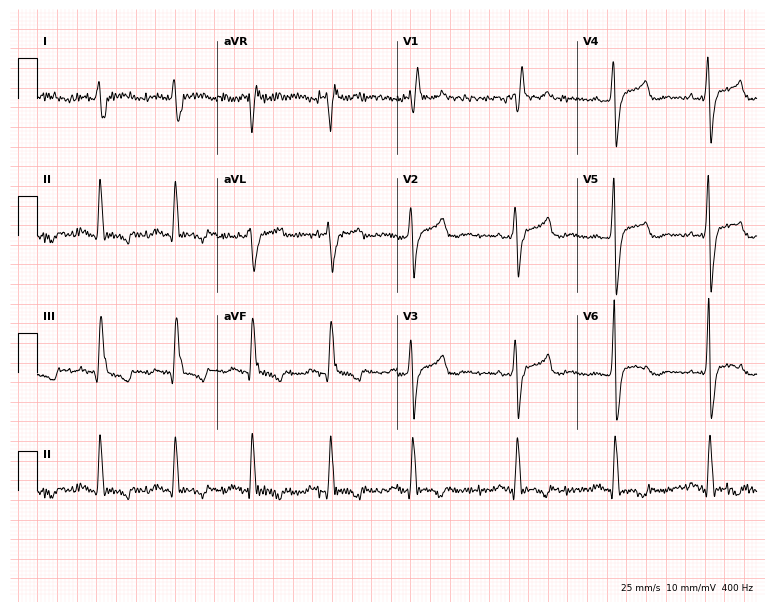
12-lead ECG from a female patient, 52 years old. Shows right bundle branch block (RBBB).